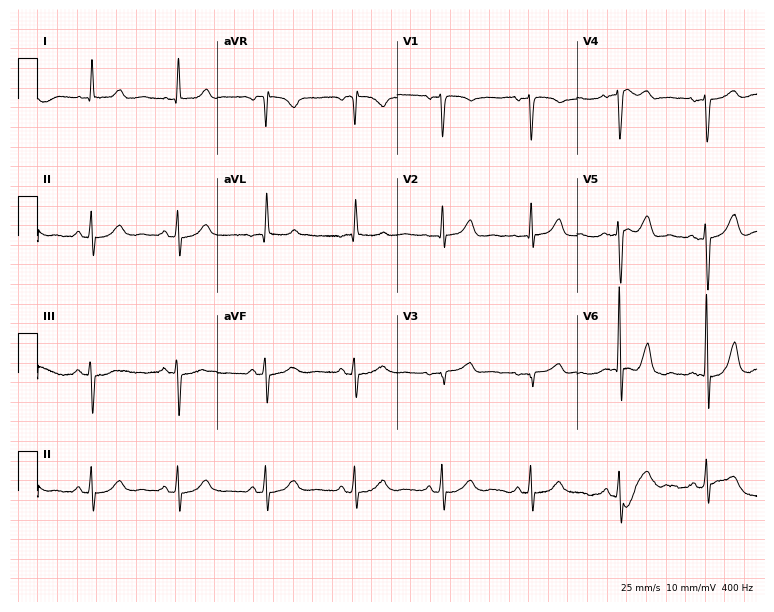
12-lead ECG from a 70-year-old female patient. Screened for six findings — first-degree AV block, right bundle branch block, left bundle branch block, sinus bradycardia, atrial fibrillation, sinus tachycardia — none is recorded.